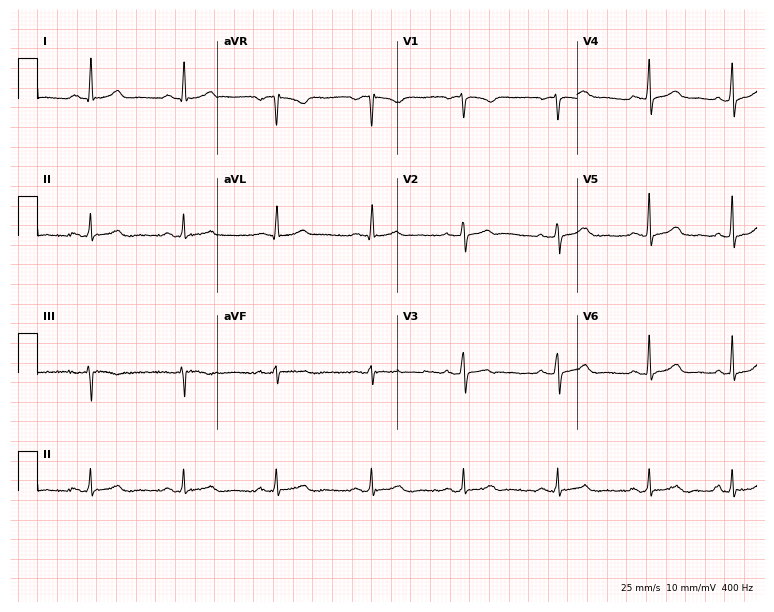
12-lead ECG from a female, 40 years old. Recorded interpretation: within normal limits.